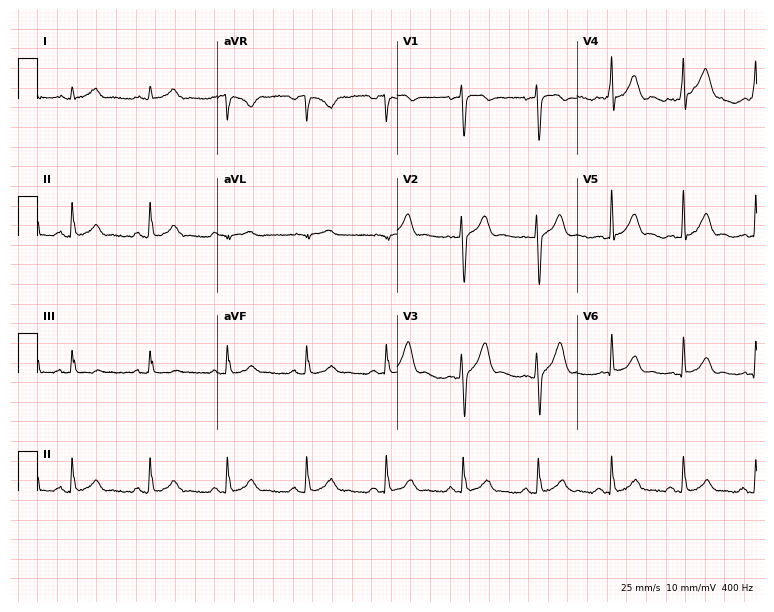
ECG — a 28-year-old man. Labelled as a normal ECG.